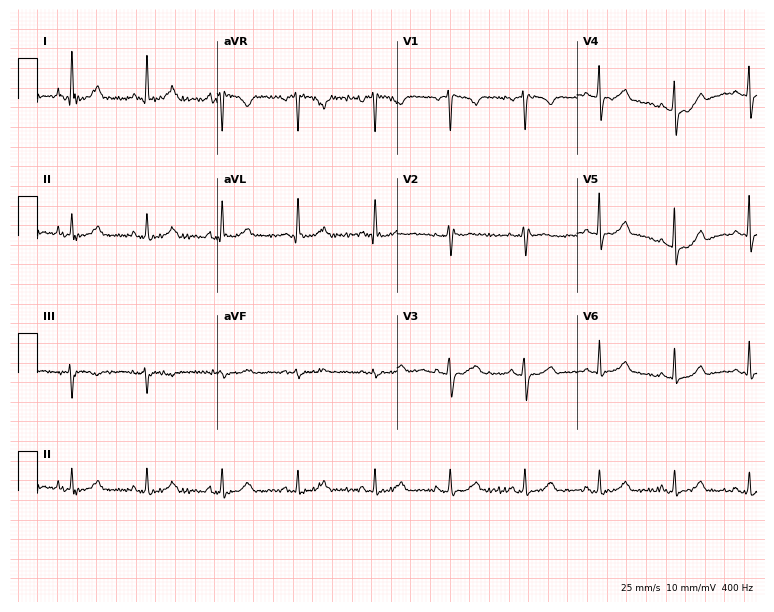
Standard 12-lead ECG recorded from a 56-year-old female. None of these six findings is recorded: first-degree AV block, right bundle branch block (RBBB), left bundle branch block (LBBB), sinus bradycardia, atrial fibrillation (AF), sinus tachycardia.